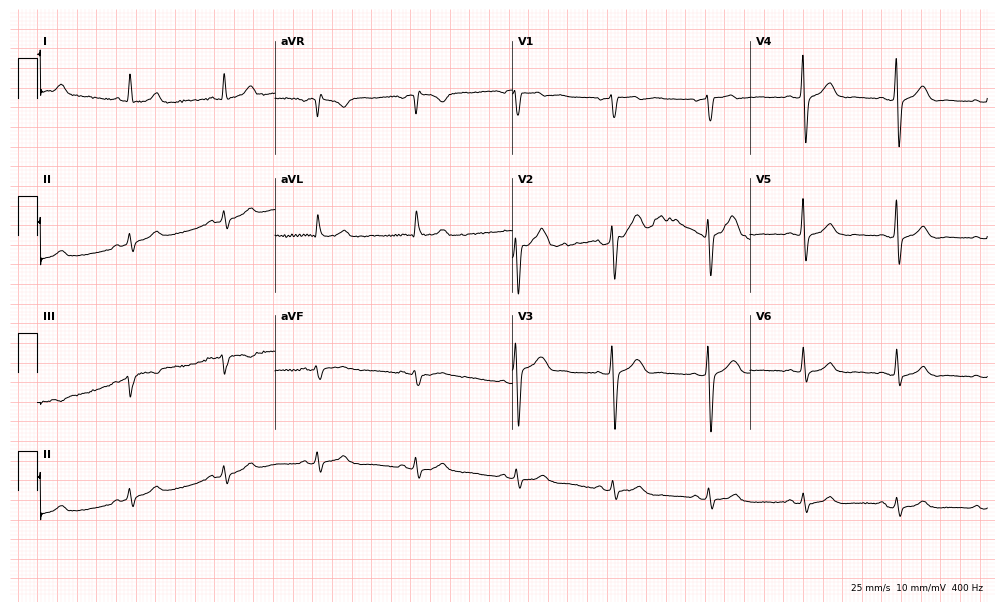
Electrocardiogram (9.7-second recording at 400 Hz), a male patient, 47 years old. Overall reading on record: normal ECG.